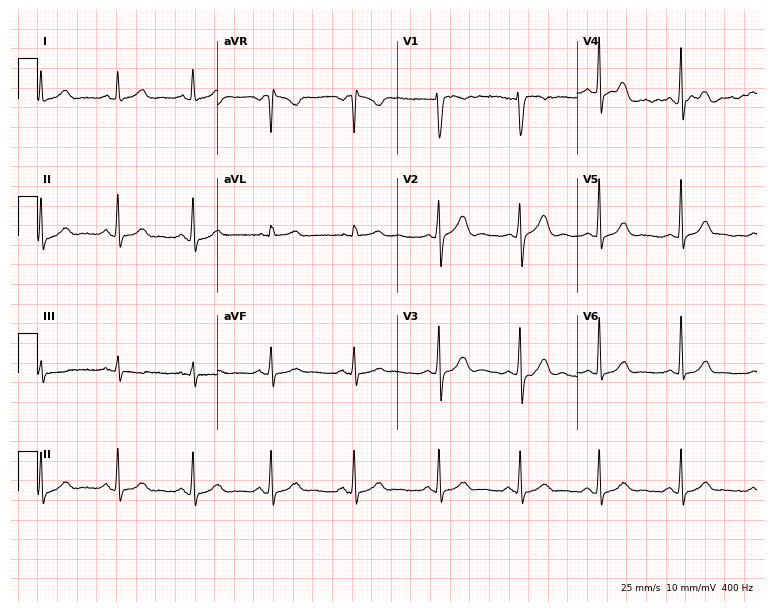
Standard 12-lead ECG recorded from a female, 30 years old (7.3-second recording at 400 Hz). Read as a normal ECG.